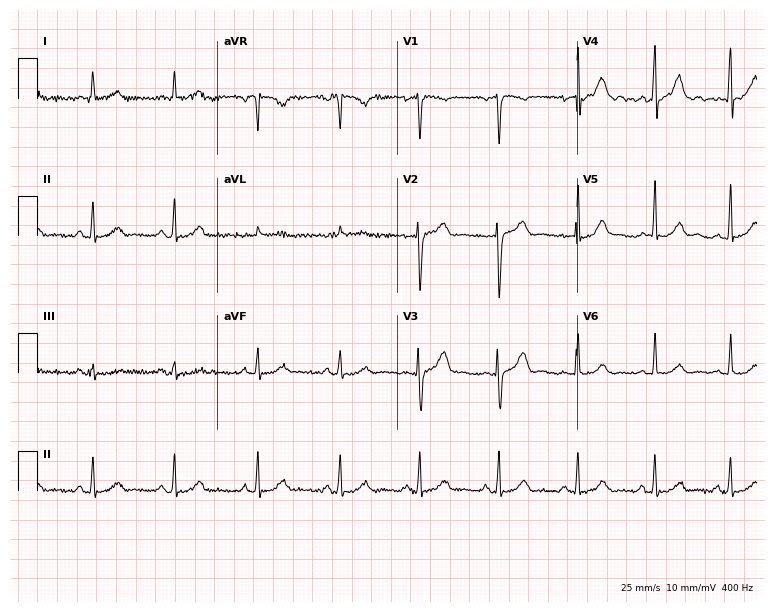
12-lead ECG from a female patient, 29 years old (7.3-second recording at 400 Hz). No first-degree AV block, right bundle branch block (RBBB), left bundle branch block (LBBB), sinus bradycardia, atrial fibrillation (AF) or sinus tachycardia recorded for this tracing.